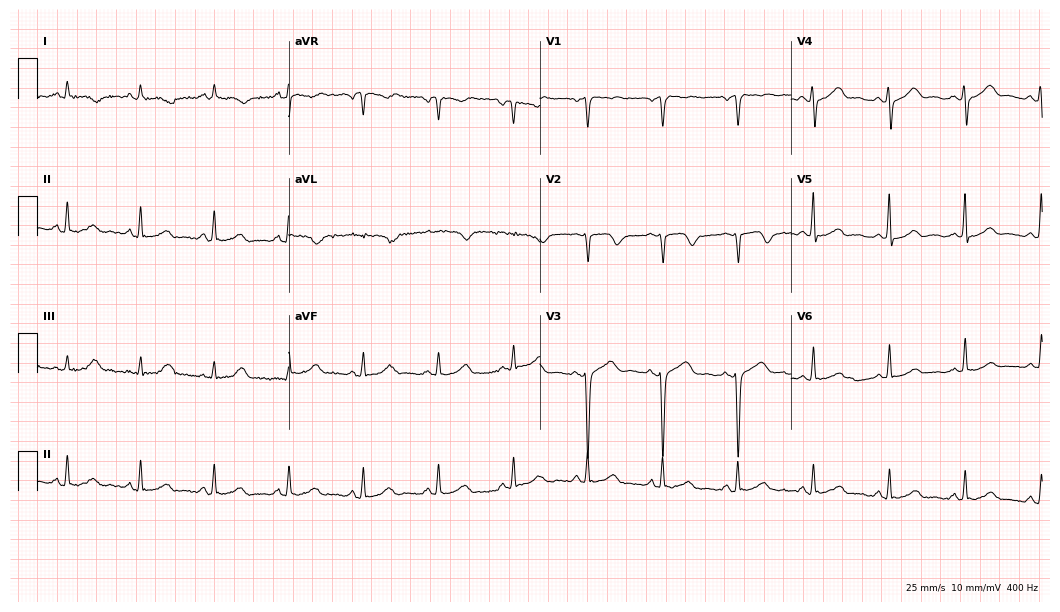
Resting 12-lead electrocardiogram. Patient: a female, 49 years old. None of these six findings is recorded: first-degree AV block, right bundle branch block, left bundle branch block, sinus bradycardia, atrial fibrillation, sinus tachycardia. Only these six findings were labelled.